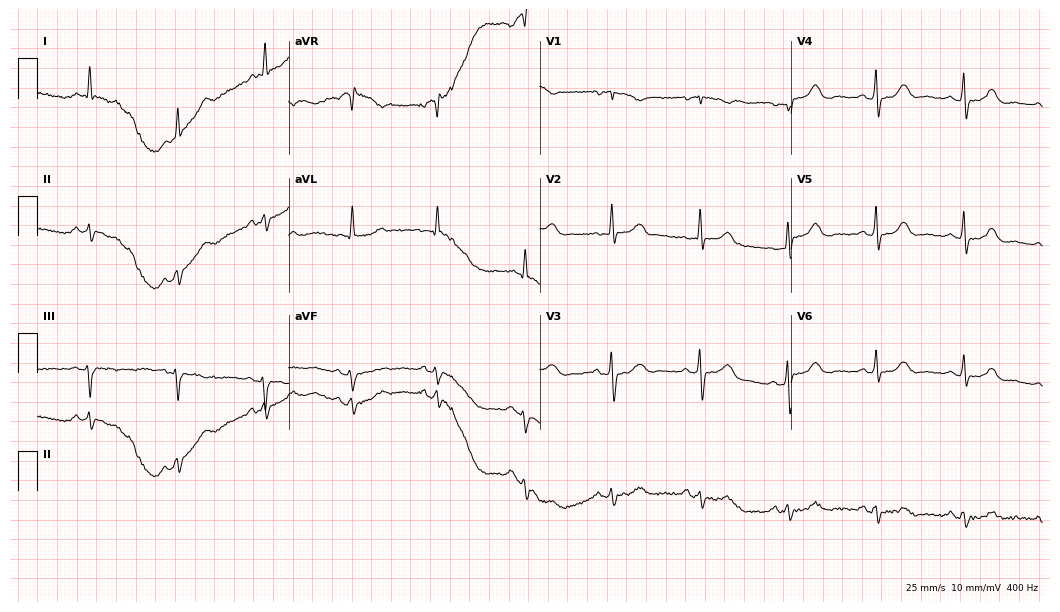
Electrocardiogram (10.2-second recording at 400 Hz), a 71-year-old woman. Of the six screened findings (first-degree AV block, right bundle branch block (RBBB), left bundle branch block (LBBB), sinus bradycardia, atrial fibrillation (AF), sinus tachycardia), none is recorded. Other findings, if any, are not listed.